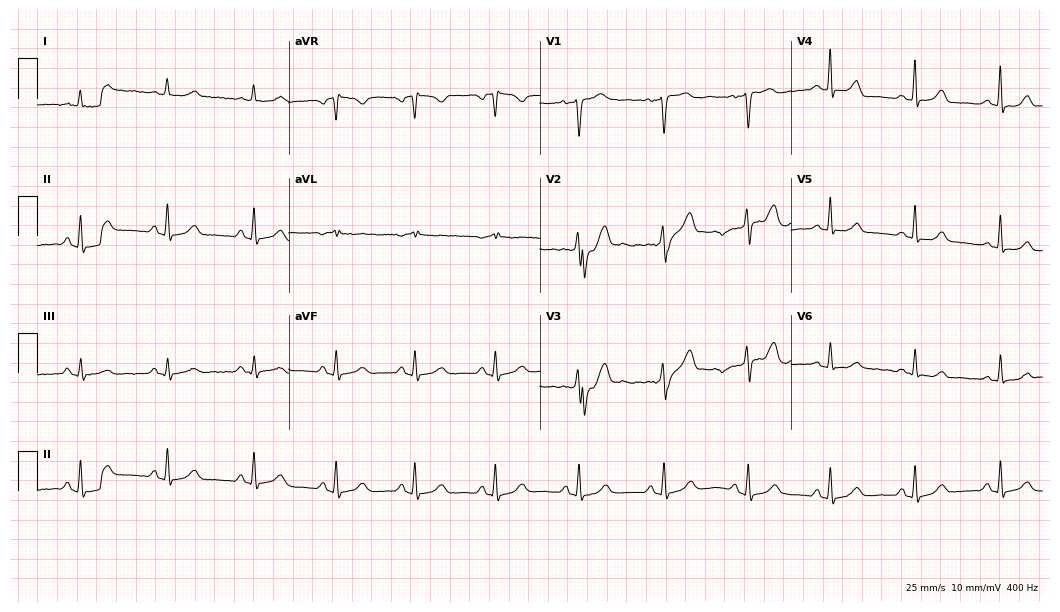
Resting 12-lead electrocardiogram. Patient: a female, 49 years old. Read as a normal ECG.